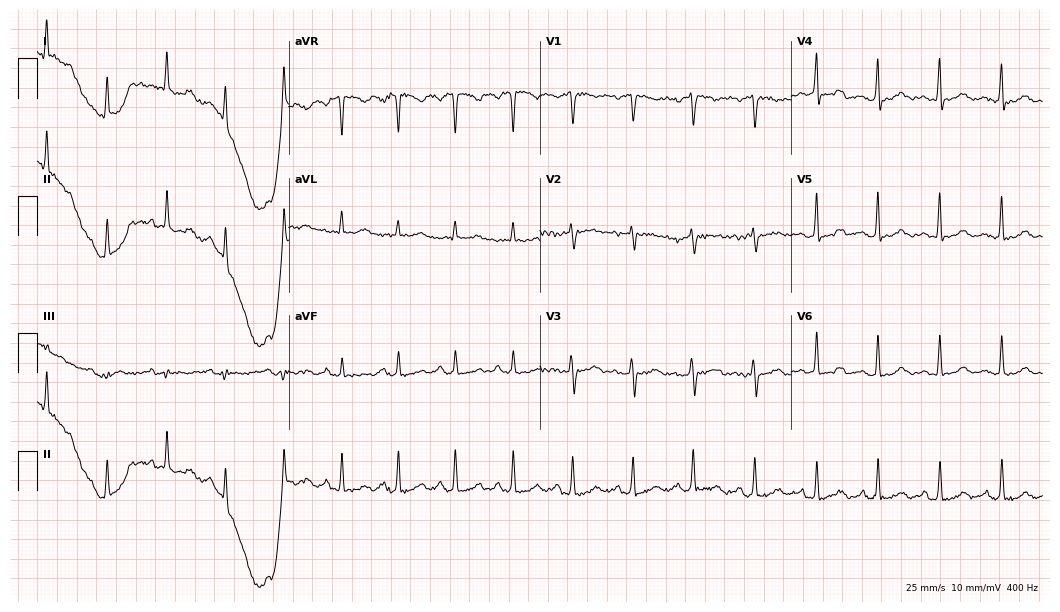
Electrocardiogram (10.2-second recording at 400 Hz), a woman, 30 years old. Of the six screened findings (first-degree AV block, right bundle branch block, left bundle branch block, sinus bradycardia, atrial fibrillation, sinus tachycardia), none is recorded. Findings outside these six are not listed.